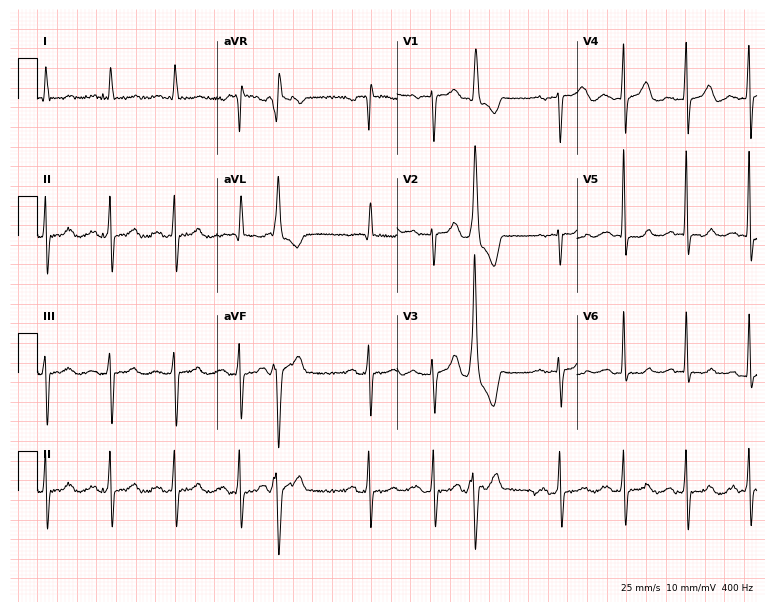
Resting 12-lead electrocardiogram (7.3-second recording at 400 Hz). Patient: a 76-year-old male. None of these six findings is recorded: first-degree AV block, right bundle branch block (RBBB), left bundle branch block (LBBB), sinus bradycardia, atrial fibrillation (AF), sinus tachycardia.